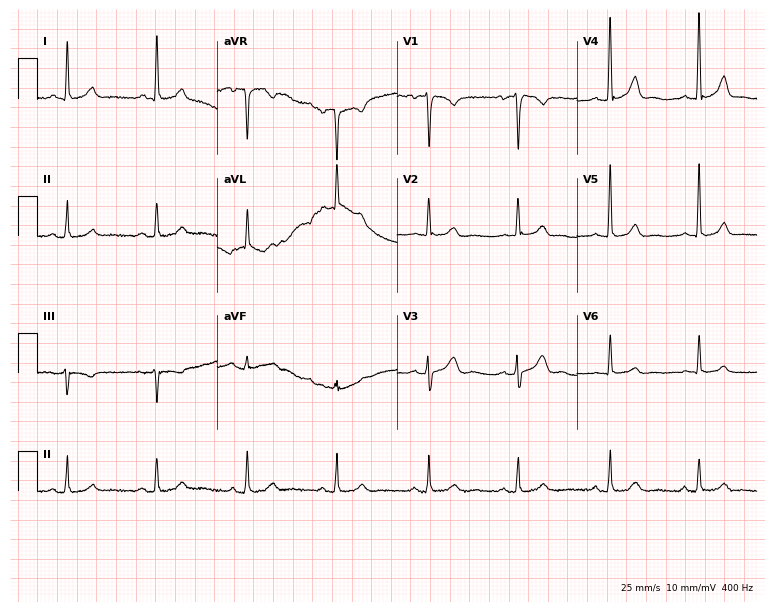
Resting 12-lead electrocardiogram. Patient: a woman, 42 years old. Read as a normal ECG.